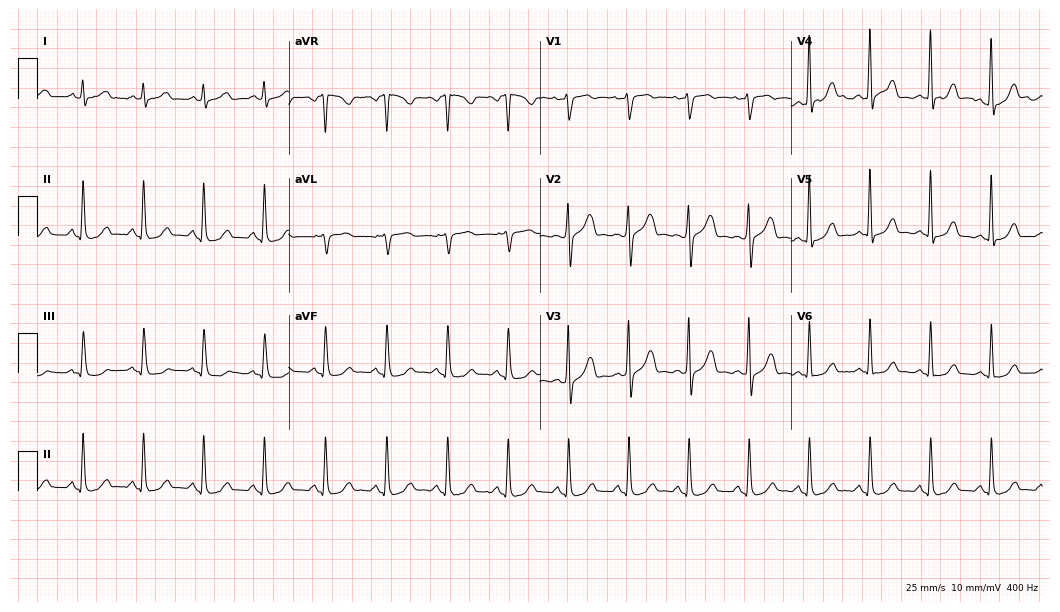
Resting 12-lead electrocardiogram. Patient: a 46-year-old female. Read as a normal ECG.